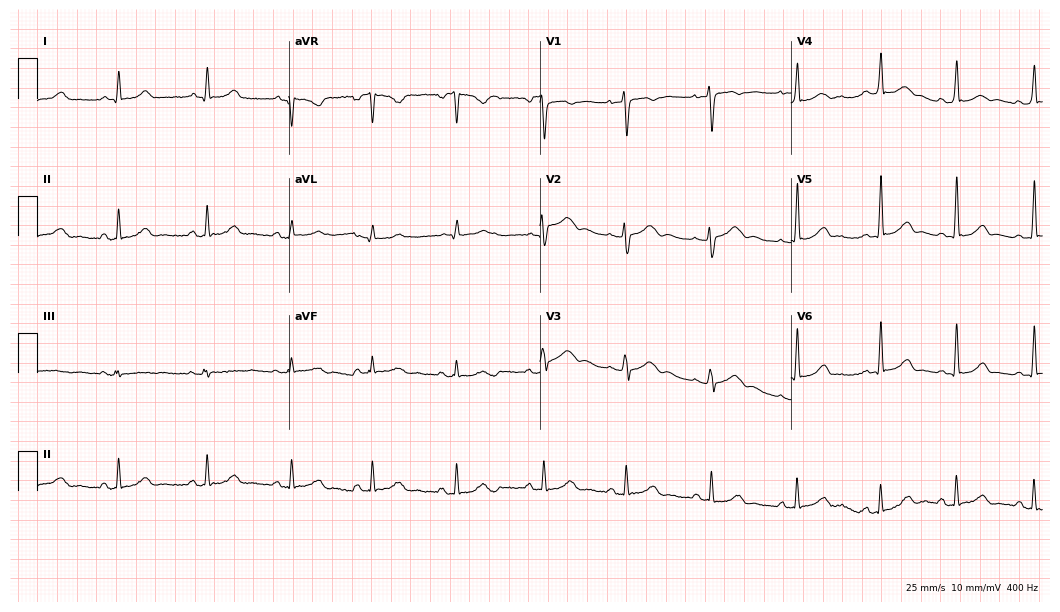
Resting 12-lead electrocardiogram. Patient: an 18-year-old female. Read as a normal ECG.